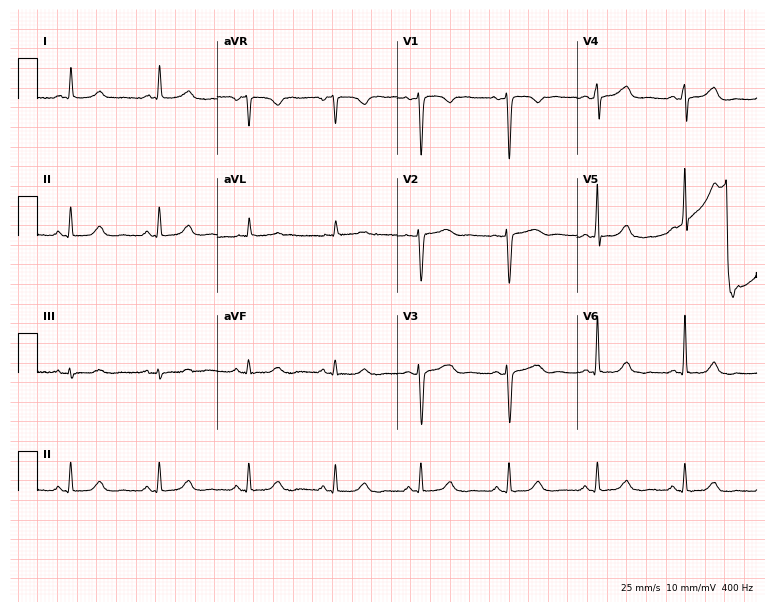
12-lead ECG from a 57-year-old female. Screened for six findings — first-degree AV block, right bundle branch block, left bundle branch block, sinus bradycardia, atrial fibrillation, sinus tachycardia — none is recorded.